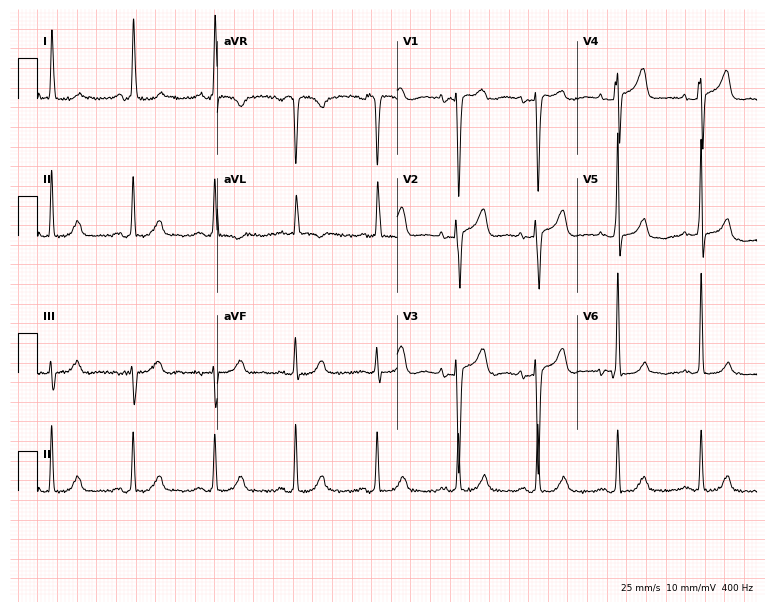
Standard 12-lead ECG recorded from an 84-year-old female patient. Read as a normal ECG.